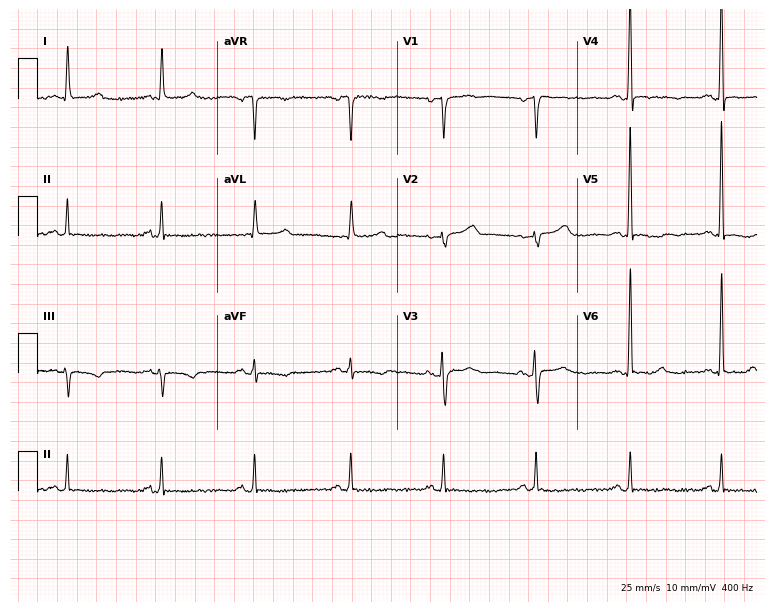
Electrocardiogram (7.3-second recording at 400 Hz), a 53-year-old female patient. Of the six screened findings (first-degree AV block, right bundle branch block (RBBB), left bundle branch block (LBBB), sinus bradycardia, atrial fibrillation (AF), sinus tachycardia), none is recorded.